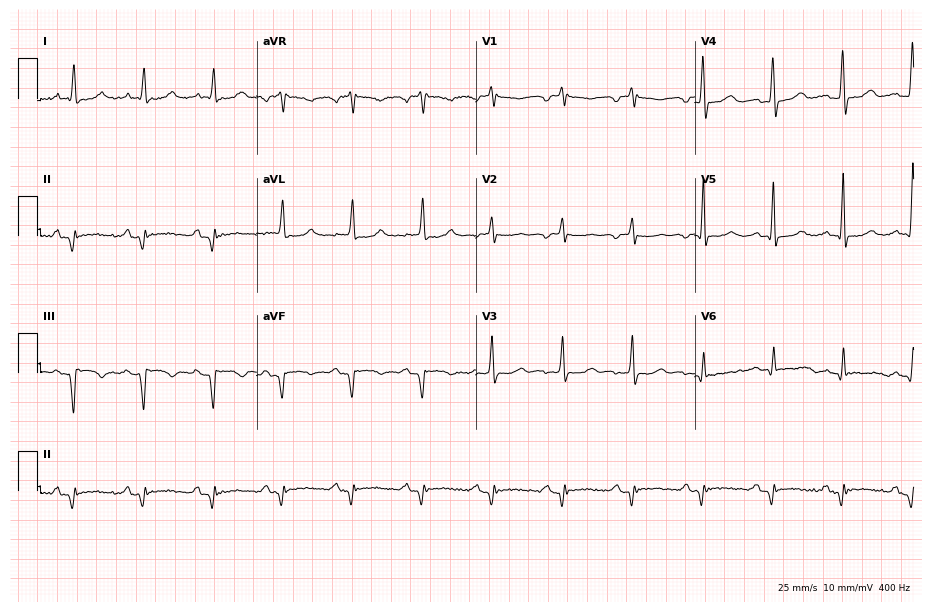
ECG — an 80-year-old male. Screened for six findings — first-degree AV block, right bundle branch block, left bundle branch block, sinus bradycardia, atrial fibrillation, sinus tachycardia — none is recorded.